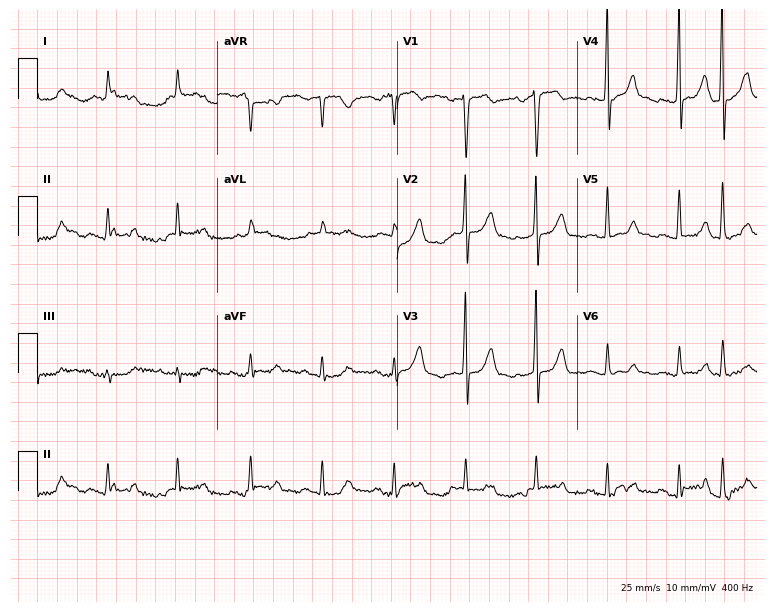
Electrocardiogram (7.3-second recording at 400 Hz), an 80-year-old man. Of the six screened findings (first-degree AV block, right bundle branch block, left bundle branch block, sinus bradycardia, atrial fibrillation, sinus tachycardia), none is recorded. Findings outside these six are not listed.